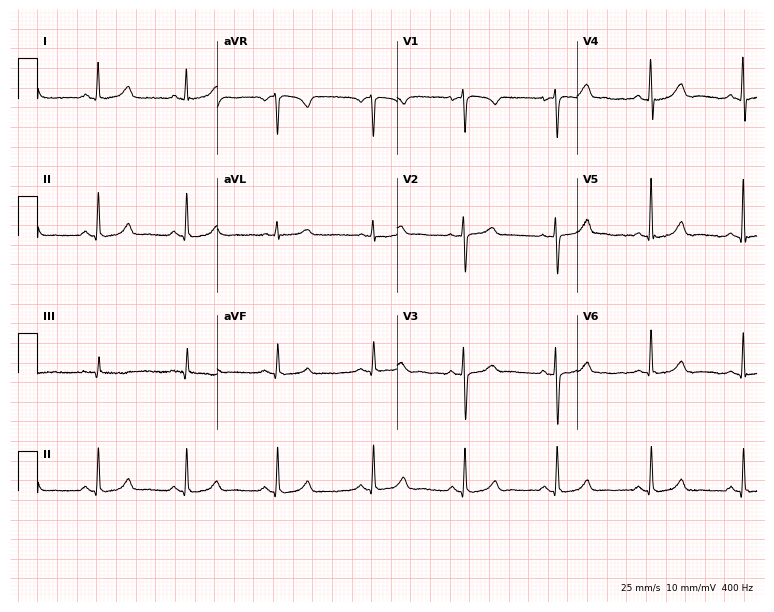
Electrocardiogram, a 38-year-old female. Overall reading on record: normal ECG.